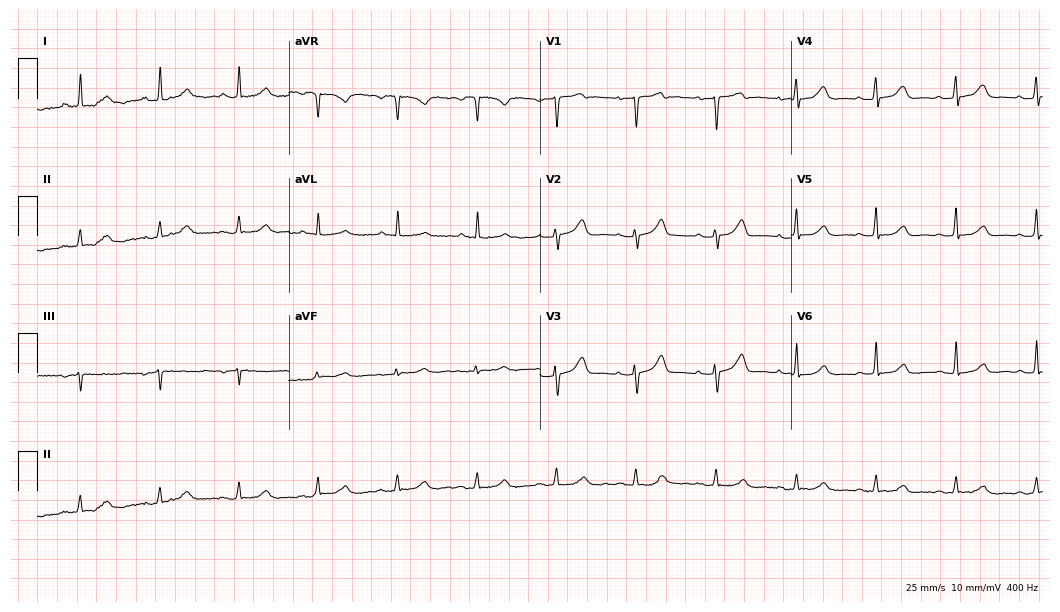
12-lead ECG from a 68-year-old woman. Recorded interpretation: within normal limits.